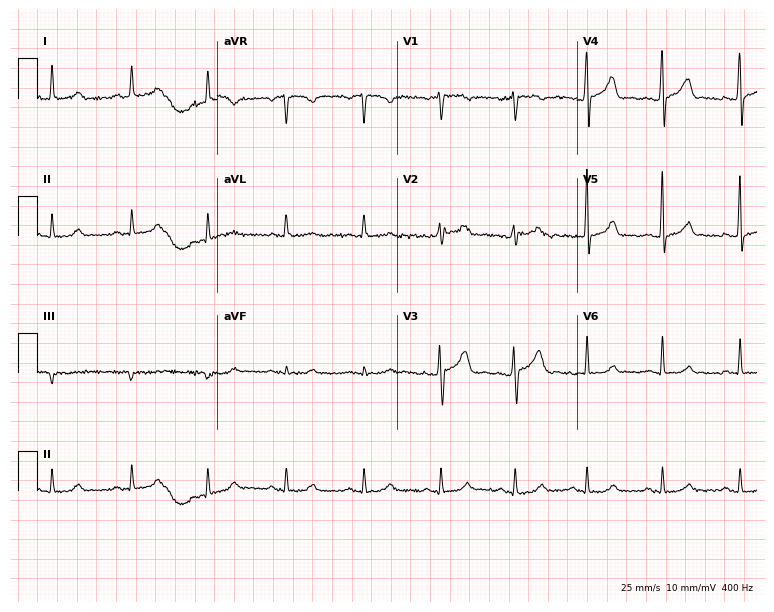
12-lead ECG from a female, 40 years old. Recorded interpretation: within normal limits.